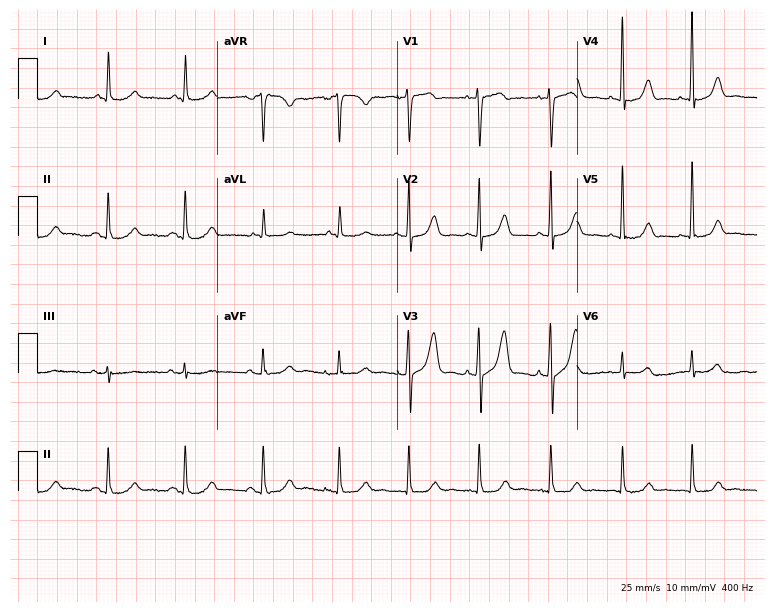
Electrocardiogram, a 74-year-old female. Overall reading on record: normal ECG.